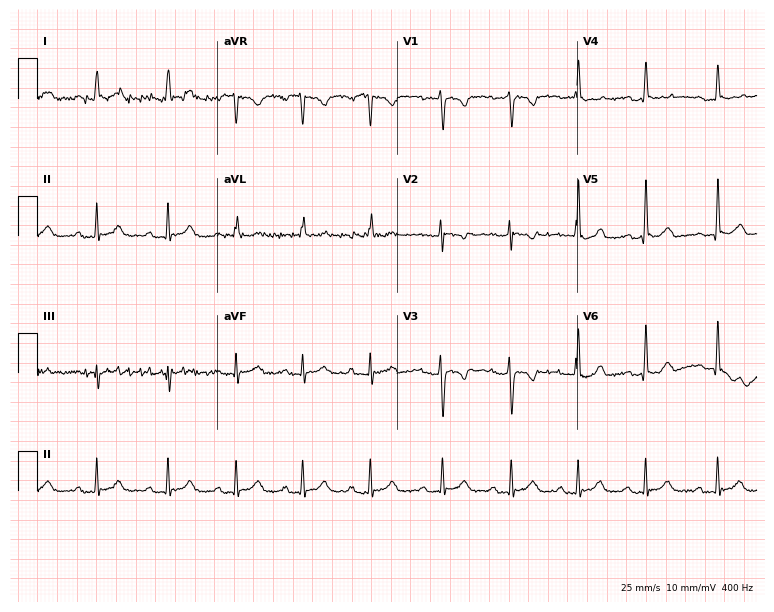
Electrocardiogram (7.3-second recording at 400 Hz), a female patient, 26 years old. Overall reading on record: normal ECG.